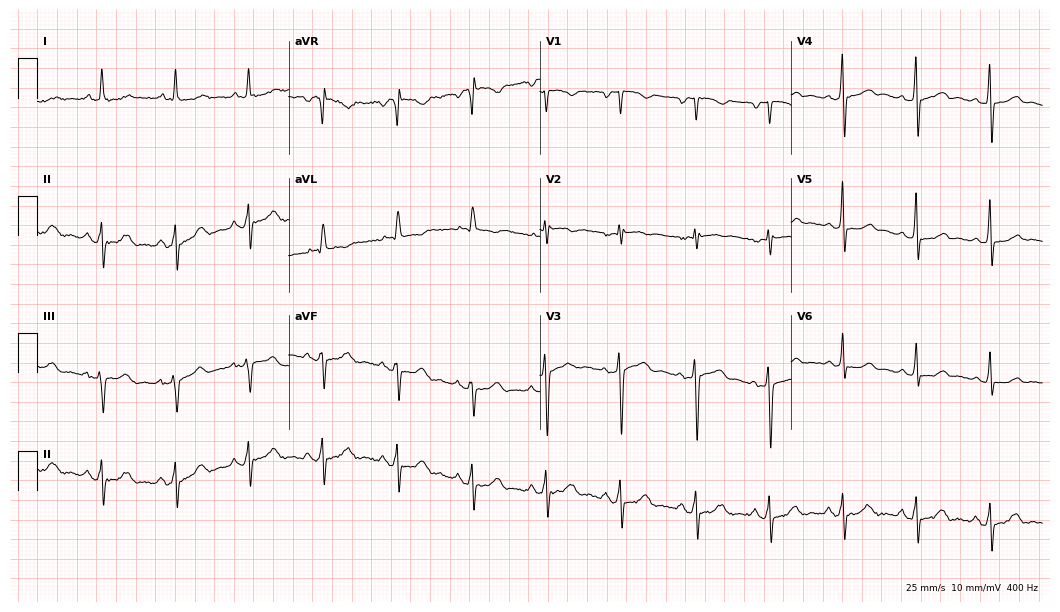
Resting 12-lead electrocardiogram (10.2-second recording at 400 Hz). Patient: a man, 70 years old. None of these six findings is recorded: first-degree AV block, right bundle branch block, left bundle branch block, sinus bradycardia, atrial fibrillation, sinus tachycardia.